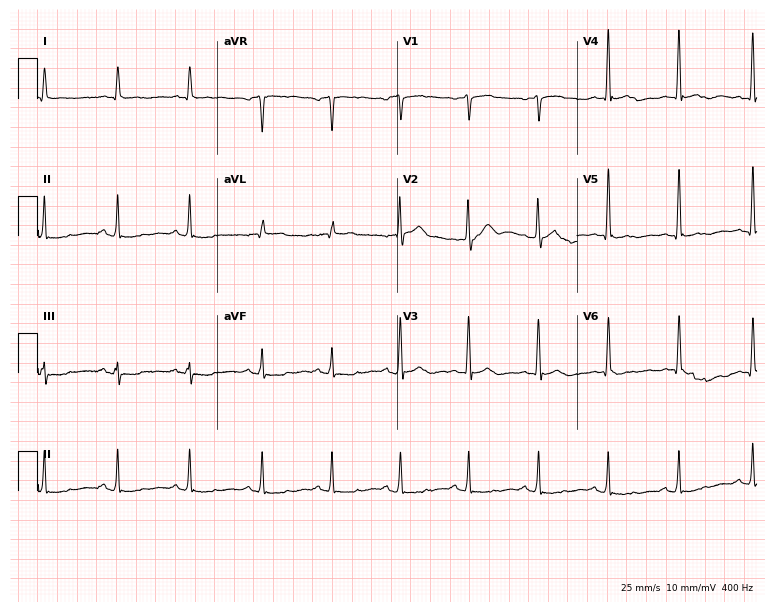
ECG — a 56-year-old male patient. Screened for six findings — first-degree AV block, right bundle branch block (RBBB), left bundle branch block (LBBB), sinus bradycardia, atrial fibrillation (AF), sinus tachycardia — none is recorded. Other findings, if any, are not listed.